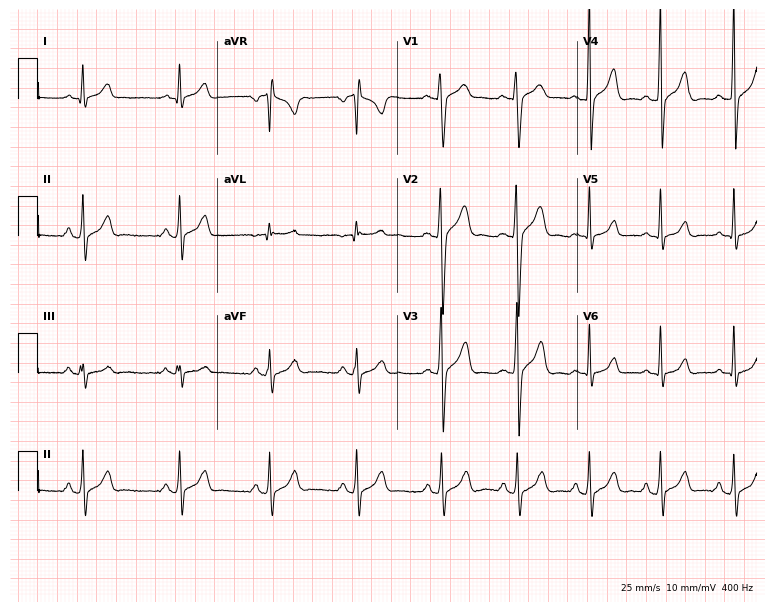
Standard 12-lead ECG recorded from a male, 18 years old (7.3-second recording at 400 Hz). Read as a normal ECG.